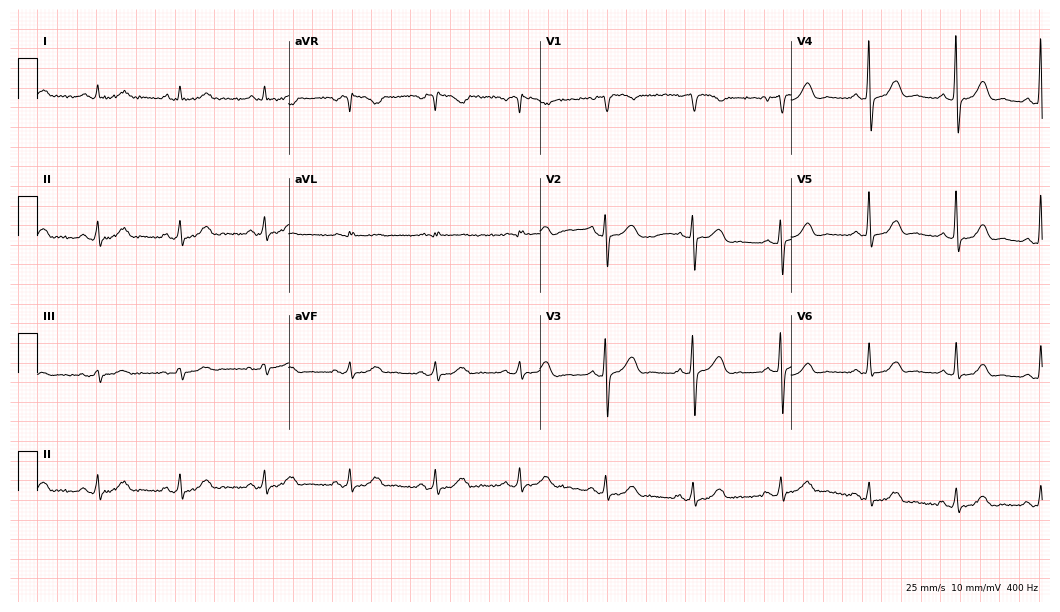
Electrocardiogram, a 56-year-old female patient. Overall reading on record: normal ECG.